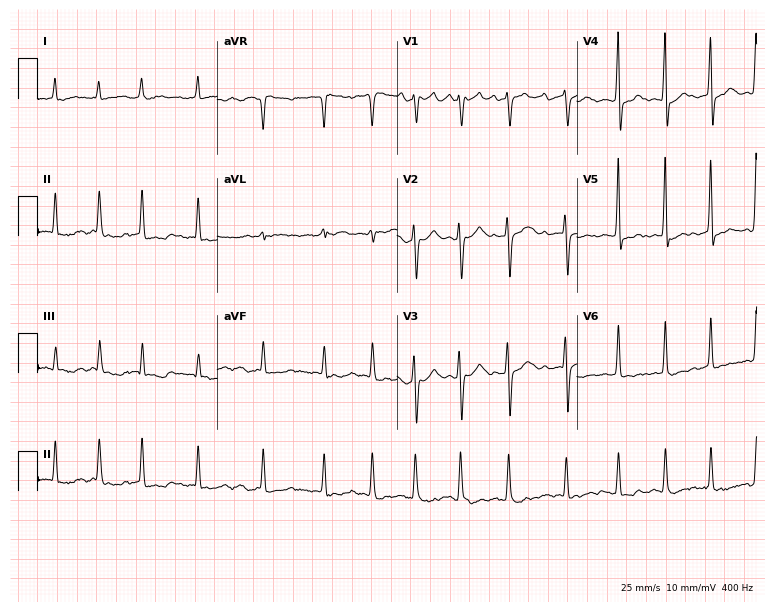
12-lead ECG (7.3-second recording at 400 Hz) from a 78-year-old female patient. Findings include atrial fibrillation (AF).